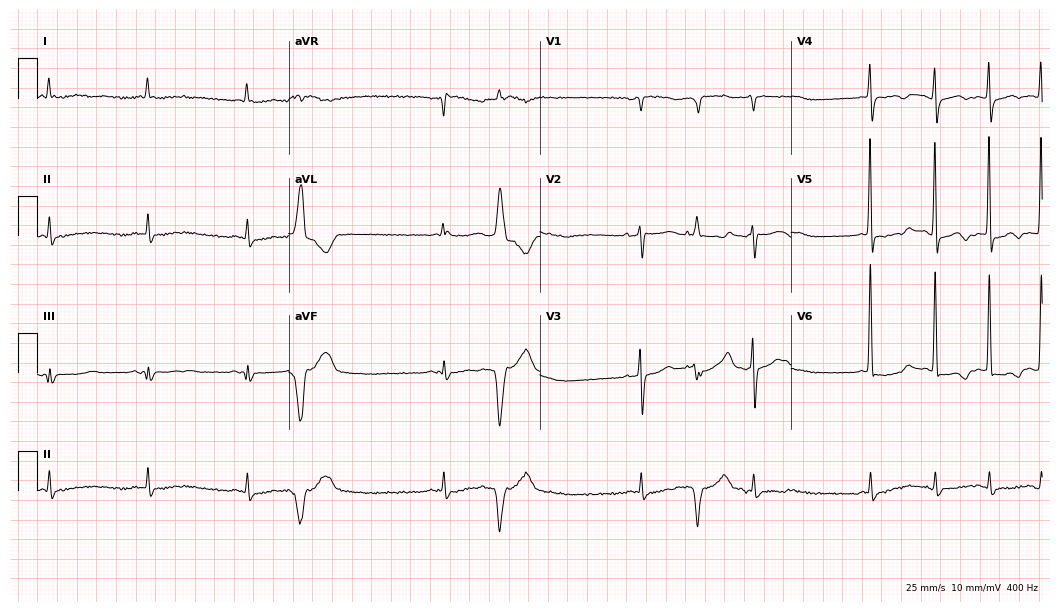
Electrocardiogram, a female, 84 years old. Overall reading on record: normal ECG.